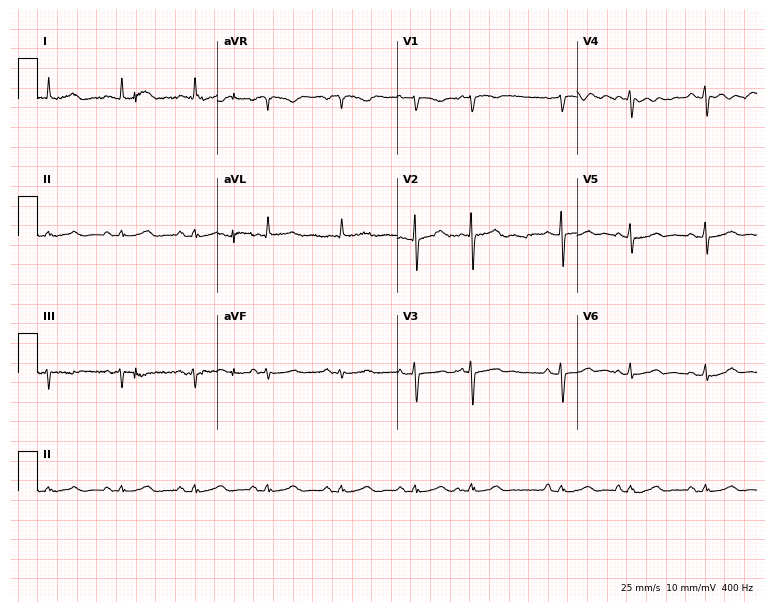
Standard 12-lead ECG recorded from a female patient, 73 years old. None of these six findings is recorded: first-degree AV block, right bundle branch block, left bundle branch block, sinus bradycardia, atrial fibrillation, sinus tachycardia.